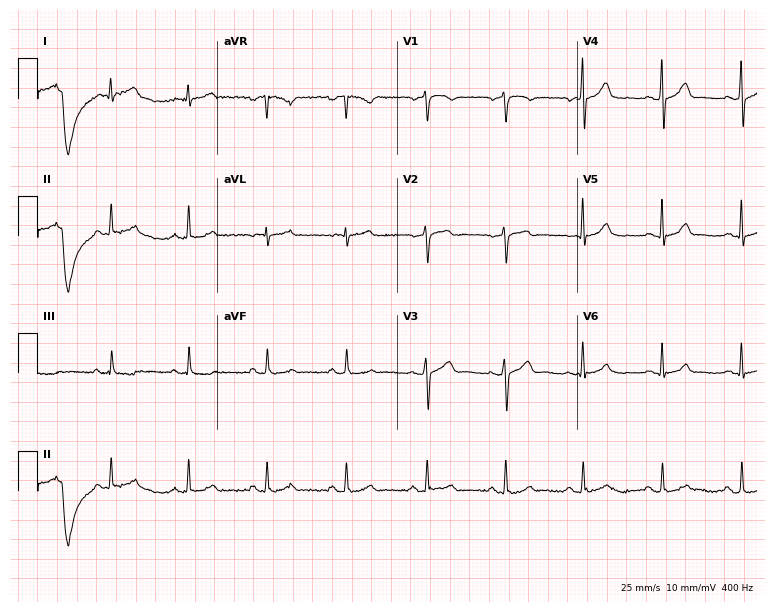
ECG — a male, 62 years old. Screened for six findings — first-degree AV block, right bundle branch block (RBBB), left bundle branch block (LBBB), sinus bradycardia, atrial fibrillation (AF), sinus tachycardia — none is recorded.